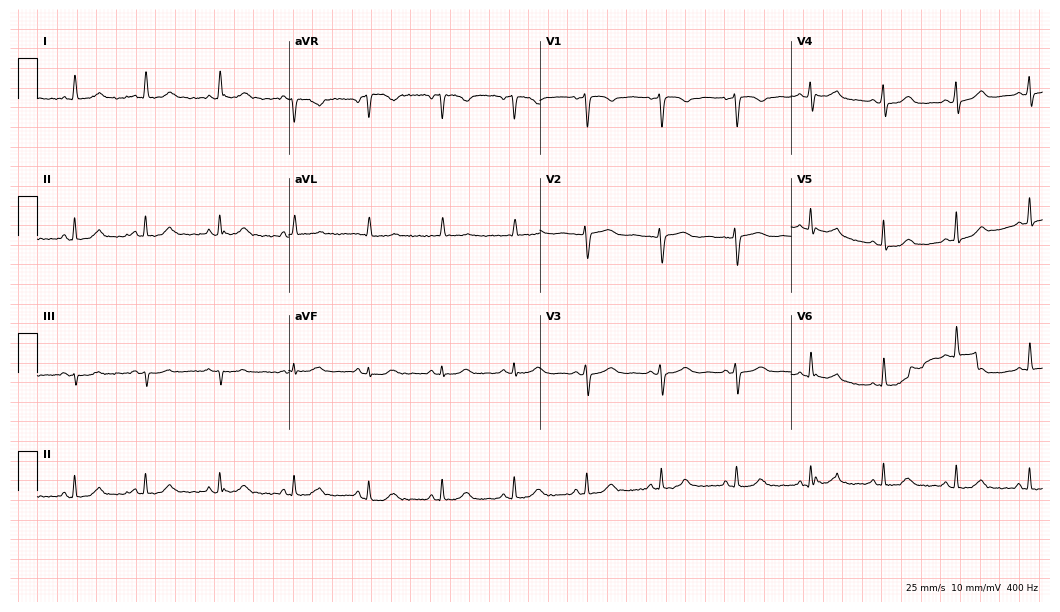
Standard 12-lead ECG recorded from a 43-year-old female patient. None of these six findings is recorded: first-degree AV block, right bundle branch block (RBBB), left bundle branch block (LBBB), sinus bradycardia, atrial fibrillation (AF), sinus tachycardia. Other findings, if any, are not listed.